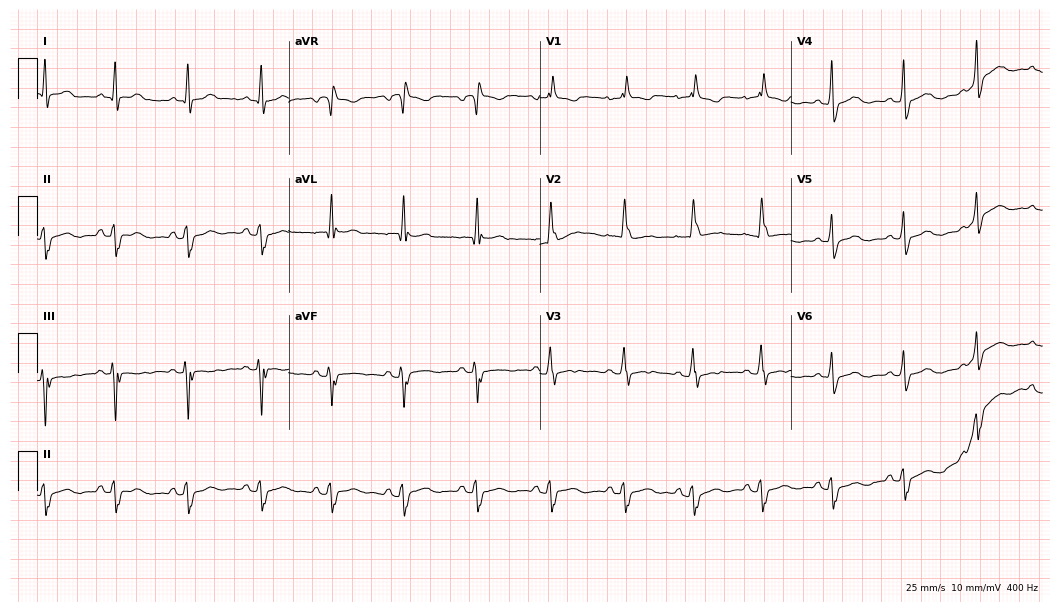
12-lead ECG (10.2-second recording at 400 Hz) from a 52-year-old woman. Screened for six findings — first-degree AV block, right bundle branch block, left bundle branch block, sinus bradycardia, atrial fibrillation, sinus tachycardia — none is recorded. Other findings, if any, are not listed.